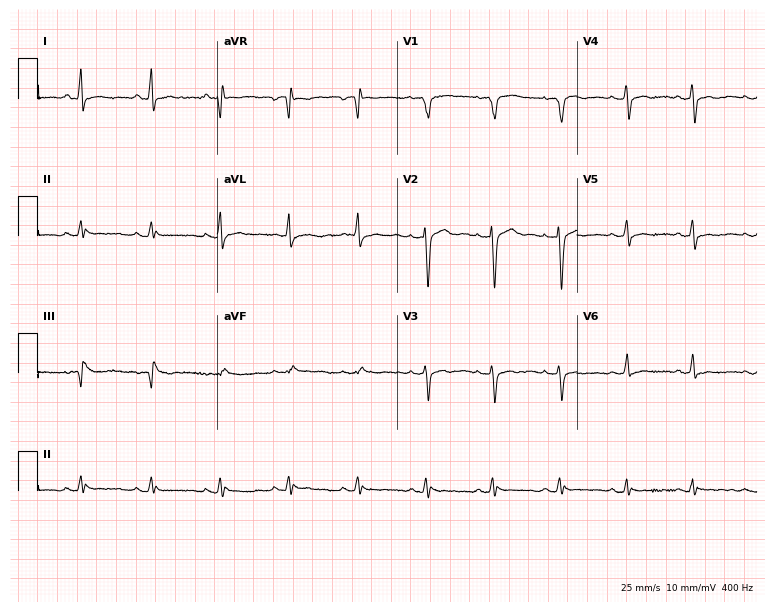
Resting 12-lead electrocardiogram (7.3-second recording at 400 Hz). Patient: a male, 22 years old. None of these six findings is recorded: first-degree AV block, right bundle branch block, left bundle branch block, sinus bradycardia, atrial fibrillation, sinus tachycardia.